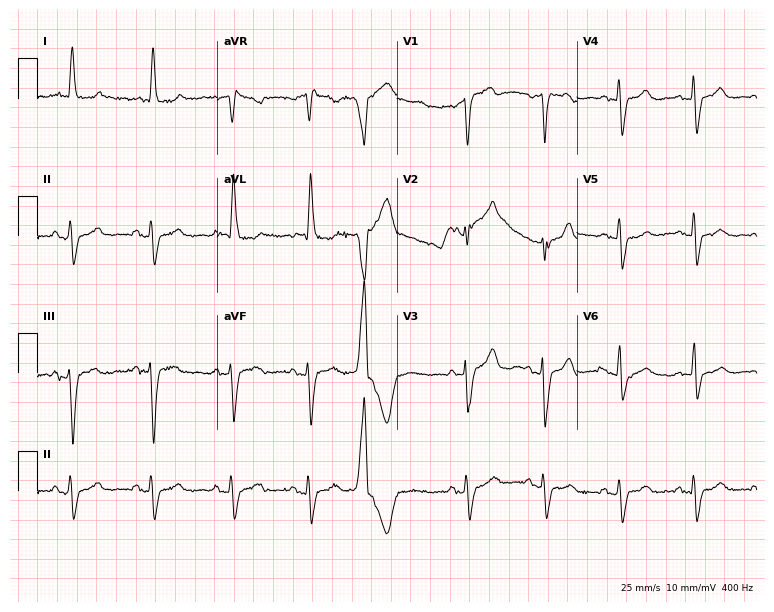
12-lead ECG from a woman, 77 years old. Screened for six findings — first-degree AV block, right bundle branch block, left bundle branch block, sinus bradycardia, atrial fibrillation, sinus tachycardia — none is recorded. Findings outside these six are not listed.